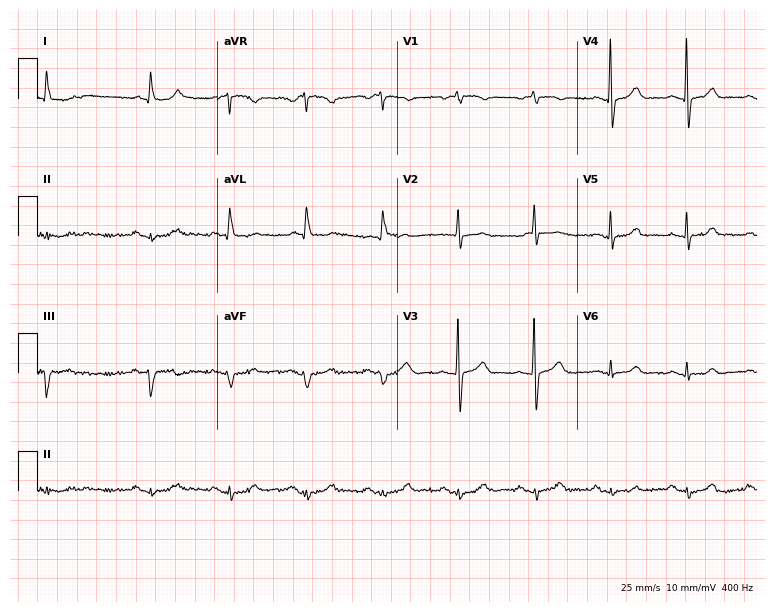
Standard 12-lead ECG recorded from an 88-year-old female patient. Read as a normal ECG.